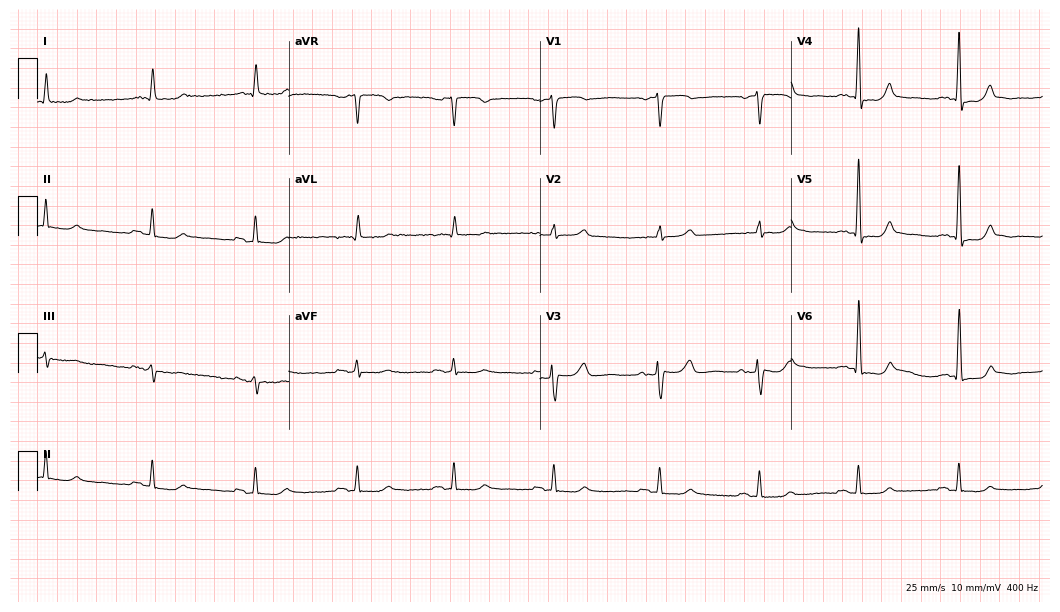
Resting 12-lead electrocardiogram (10.2-second recording at 400 Hz). Patient: a 74-year-old female. None of these six findings is recorded: first-degree AV block, right bundle branch block, left bundle branch block, sinus bradycardia, atrial fibrillation, sinus tachycardia.